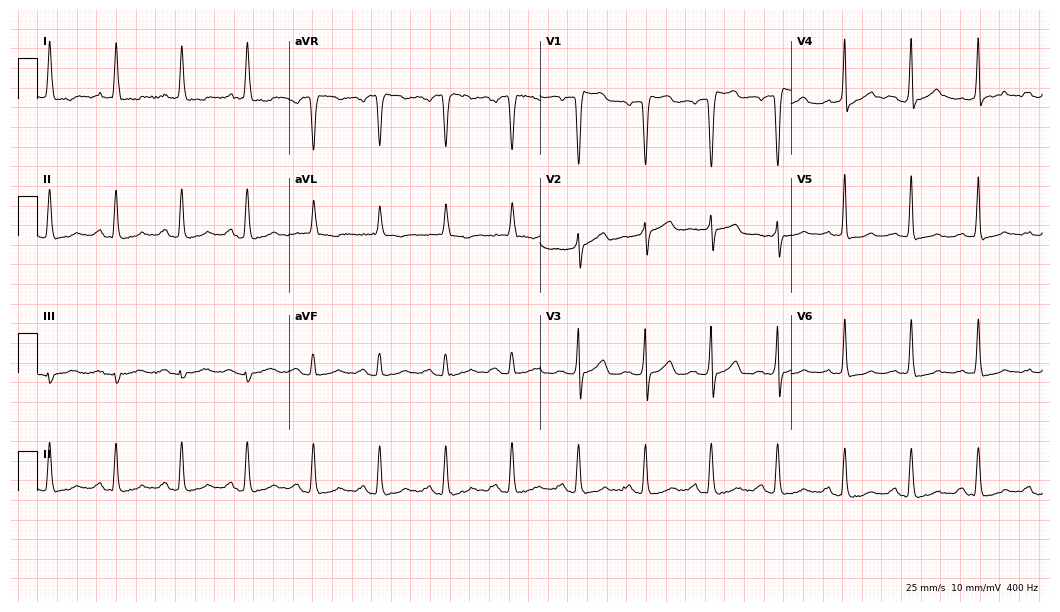
Resting 12-lead electrocardiogram. Patient: a female, 54 years old. None of these six findings is recorded: first-degree AV block, right bundle branch block, left bundle branch block, sinus bradycardia, atrial fibrillation, sinus tachycardia. Other findings, if any, are not listed.